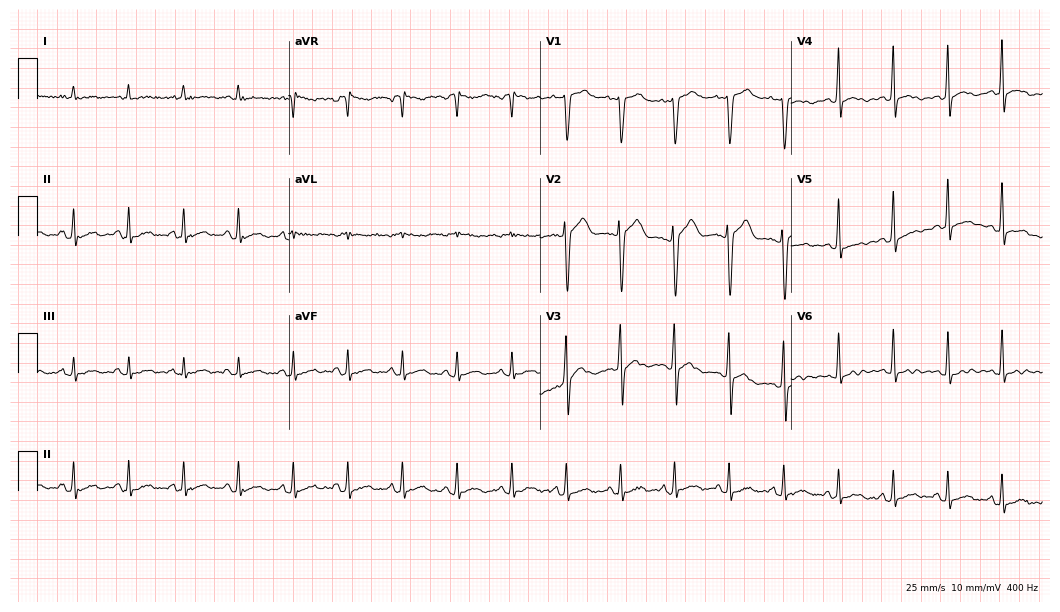
12-lead ECG (10.2-second recording at 400 Hz) from a male patient, 34 years old. Findings include sinus tachycardia (a sinus rate of 100 beats per minute or more).